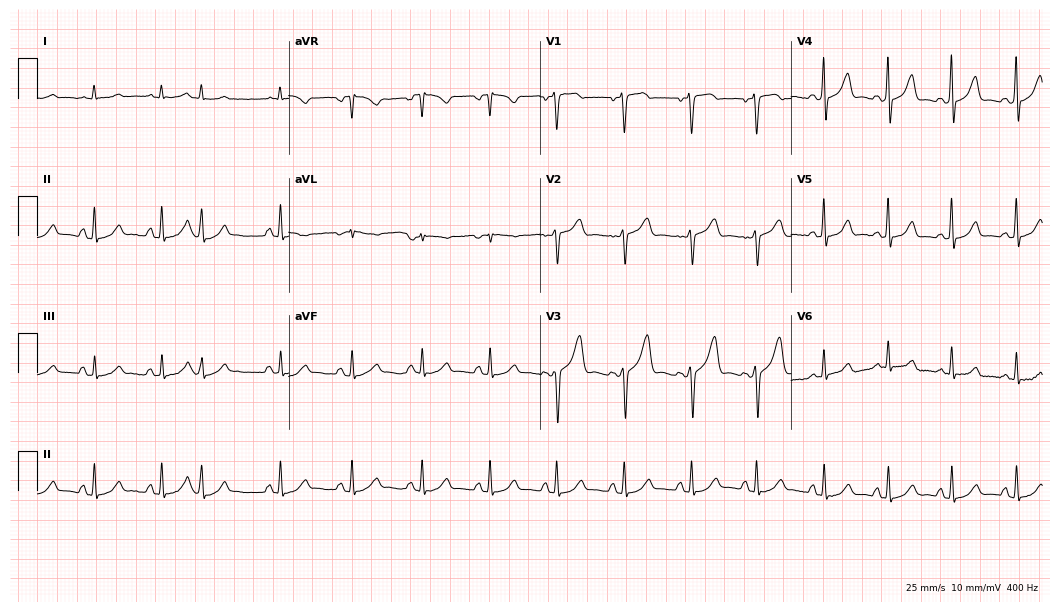
Standard 12-lead ECG recorded from a female patient, 59 years old (10.2-second recording at 400 Hz). Read as a normal ECG.